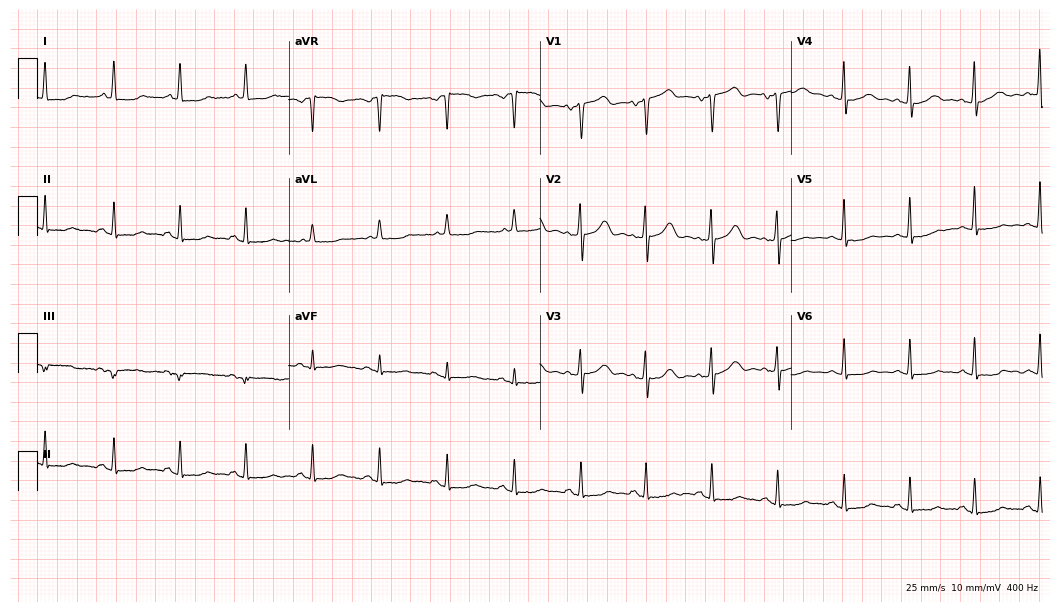
Resting 12-lead electrocardiogram. Patient: a 67-year-old female. None of these six findings is recorded: first-degree AV block, right bundle branch block, left bundle branch block, sinus bradycardia, atrial fibrillation, sinus tachycardia.